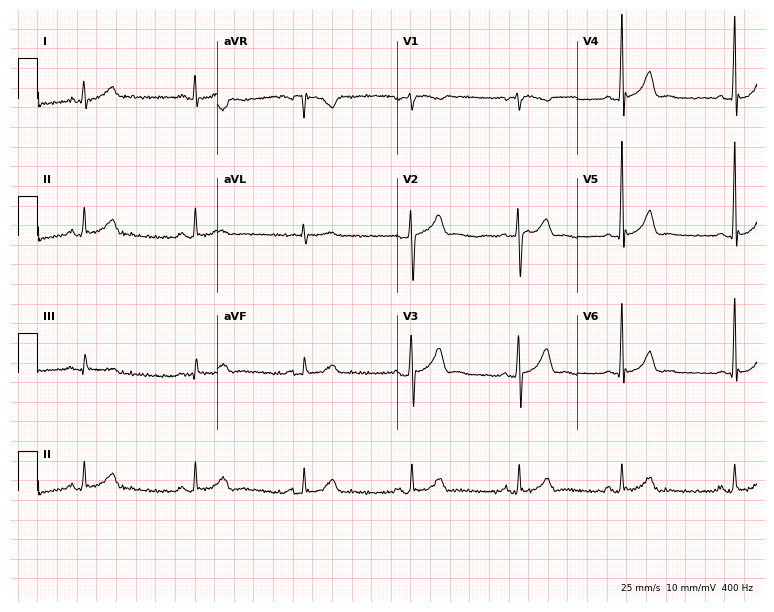
Electrocardiogram (7.3-second recording at 400 Hz), a woman, 38 years old. Overall reading on record: normal ECG.